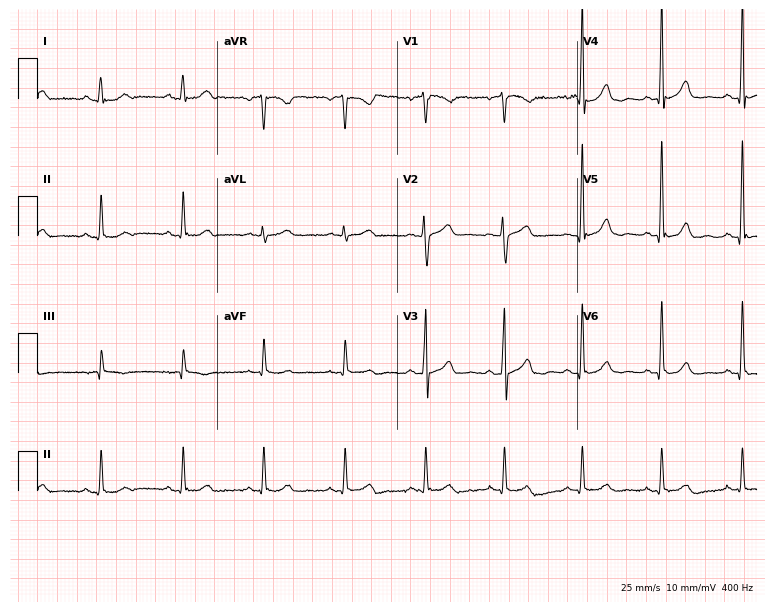
Electrocardiogram, a man, 52 years old. Overall reading on record: normal ECG.